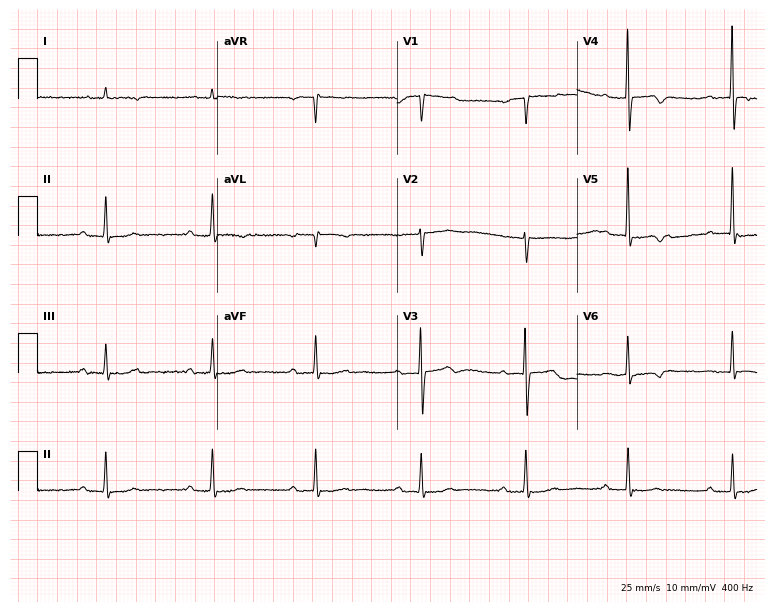
Resting 12-lead electrocardiogram (7.3-second recording at 400 Hz). Patient: a male, 85 years old. The tracing shows first-degree AV block.